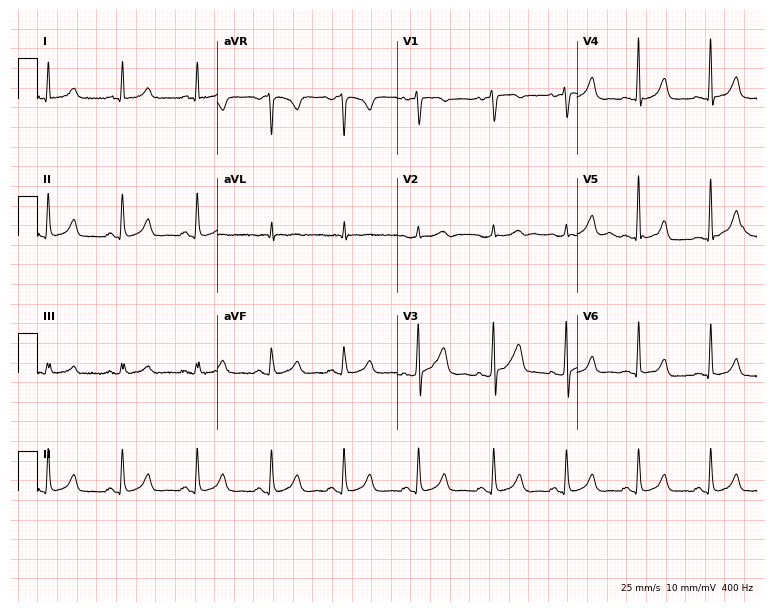
Electrocardiogram, a 37-year-old female. Overall reading on record: normal ECG.